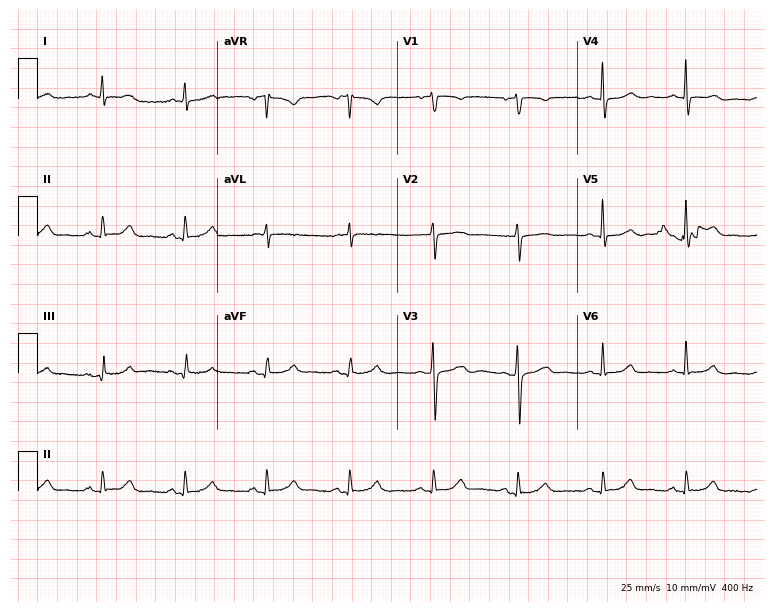
ECG — a female, 70 years old. Screened for six findings — first-degree AV block, right bundle branch block, left bundle branch block, sinus bradycardia, atrial fibrillation, sinus tachycardia — none is recorded. Findings outside these six are not listed.